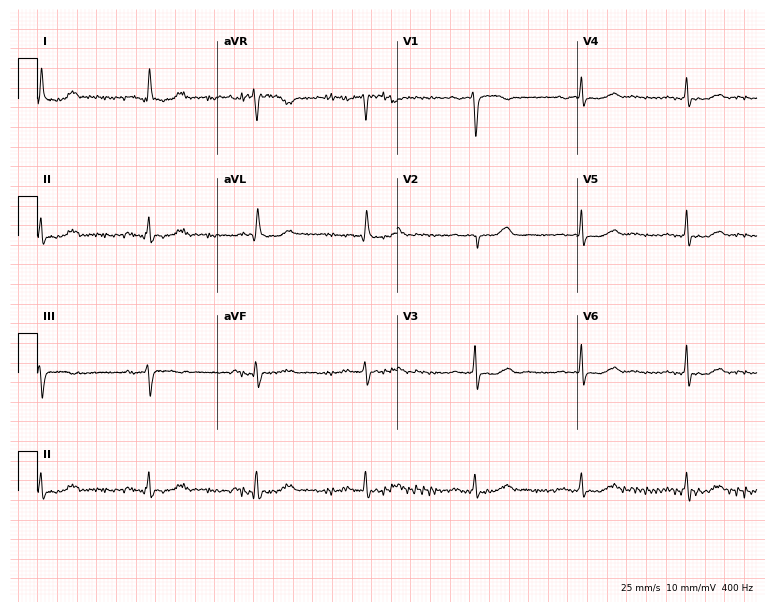
12-lead ECG from a female, 69 years old. Recorded interpretation: within normal limits.